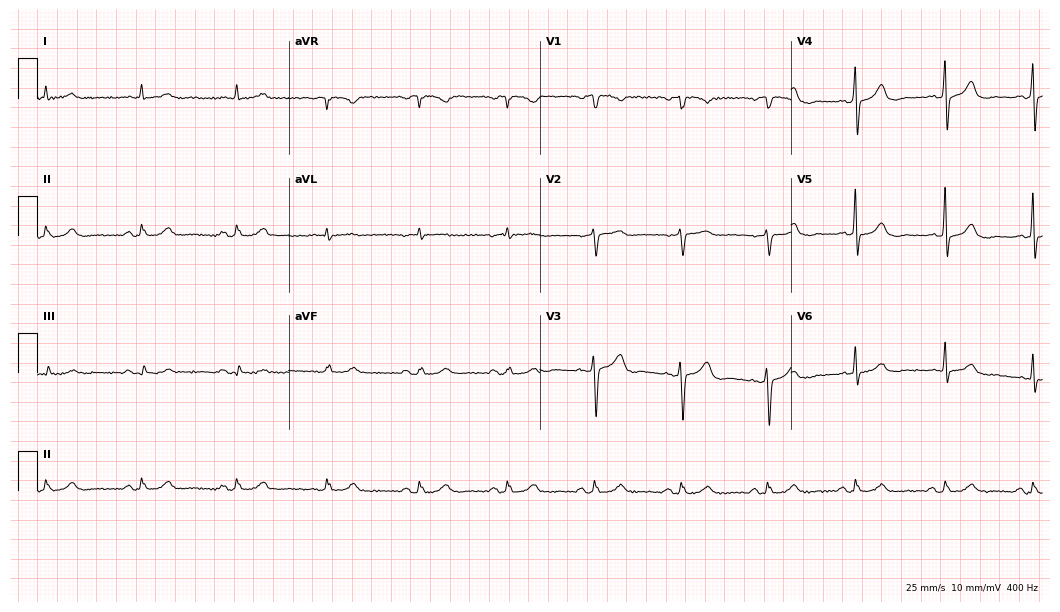
12-lead ECG from a male patient, 79 years old (10.2-second recording at 400 Hz). Recorded interpretation: within normal limits.